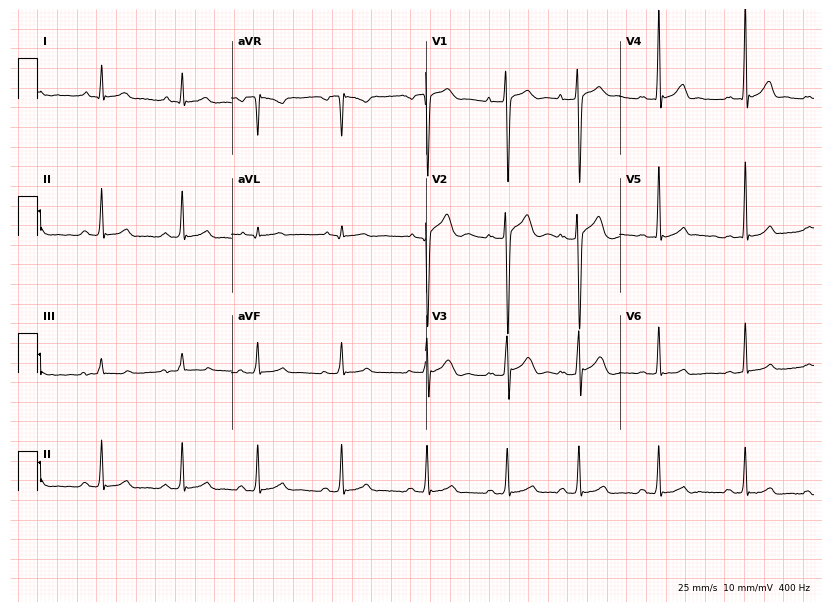
Standard 12-lead ECG recorded from a male, 17 years old (7.9-second recording at 400 Hz). None of these six findings is recorded: first-degree AV block, right bundle branch block (RBBB), left bundle branch block (LBBB), sinus bradycardia, atrial fibrillation (AF), sinus tachycardia. Other findings, if any, are not listed.